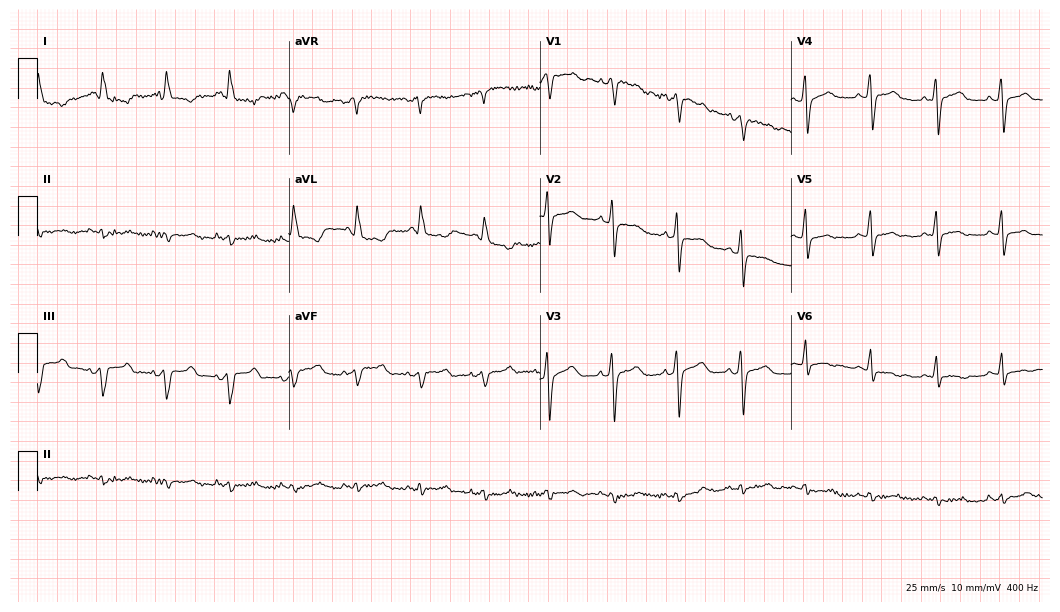
12-lead ECG from a 79-year-old female patient. No first-degree AV block, right bundle branch block, left bundle branch block, sinus bradycardia, atrial fibrillation or sinus tachycardia recorded for this tracing. Findings outside these six are not listed.